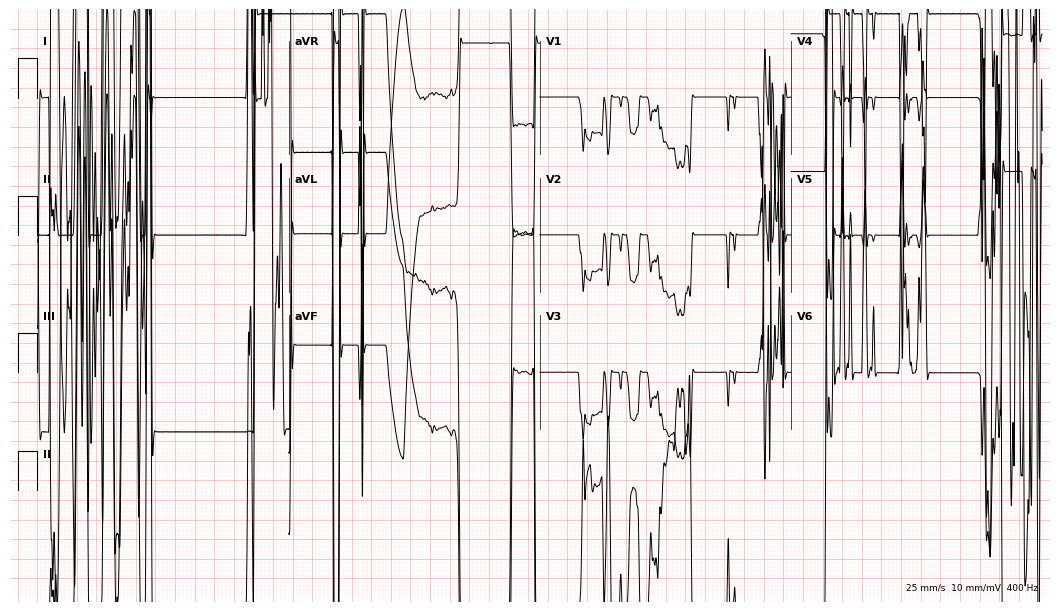
ECG (10.2-second recording at 400 Hz) — a male patient, 58 years old. Screened for six findings — first-degree AV block, right bundle branch block, left bundle branch block, sinus bradycardia, atrial fibrillation, sinus tachycardia — none is recorded. Findings outside these six are not listed.